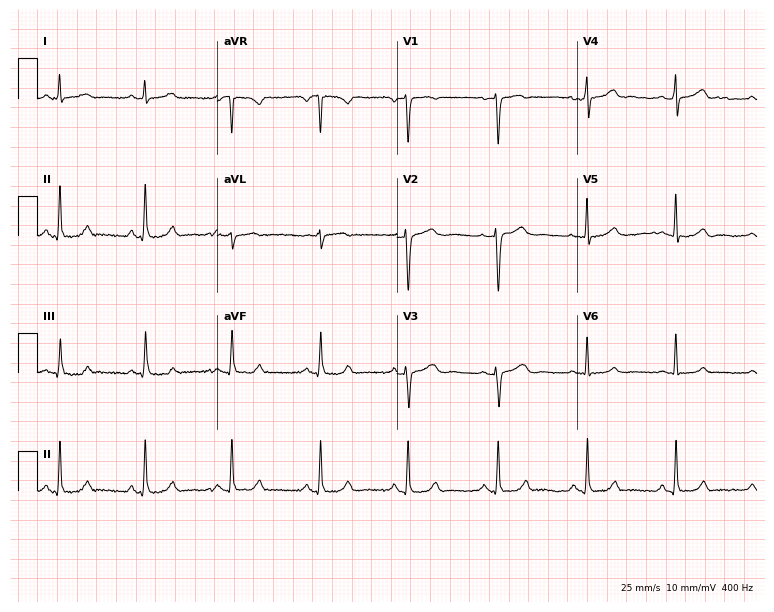
Standard 12-lead ECG recorded from a woman, 42 years old (7.3-second recording at 400 Hz). None of these six findings is recorded: first-degree AV block, right bundle branch block, left bundle branch block, sinus bradycardia, atrial fibrillation, sinus tachycardia. Other findings, if any, are not listed.